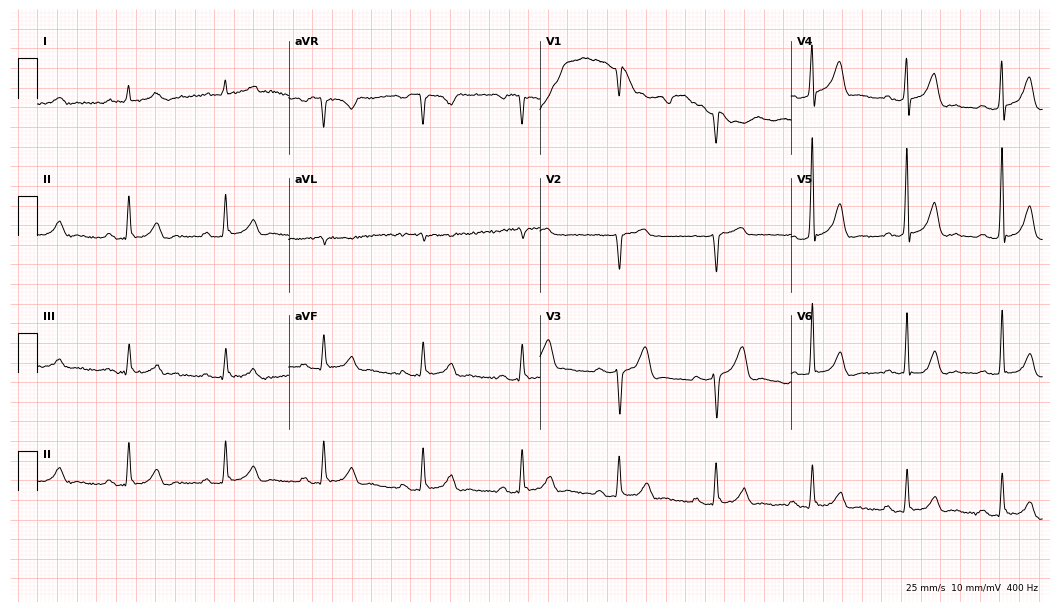
12-lead ECG from a 61-year-old man. No first-degree AV block, right bundle branch block, left bundle branch block, sinus bradycardia, atrial fibrillation or sinus tachycardia recorded for this tracing.